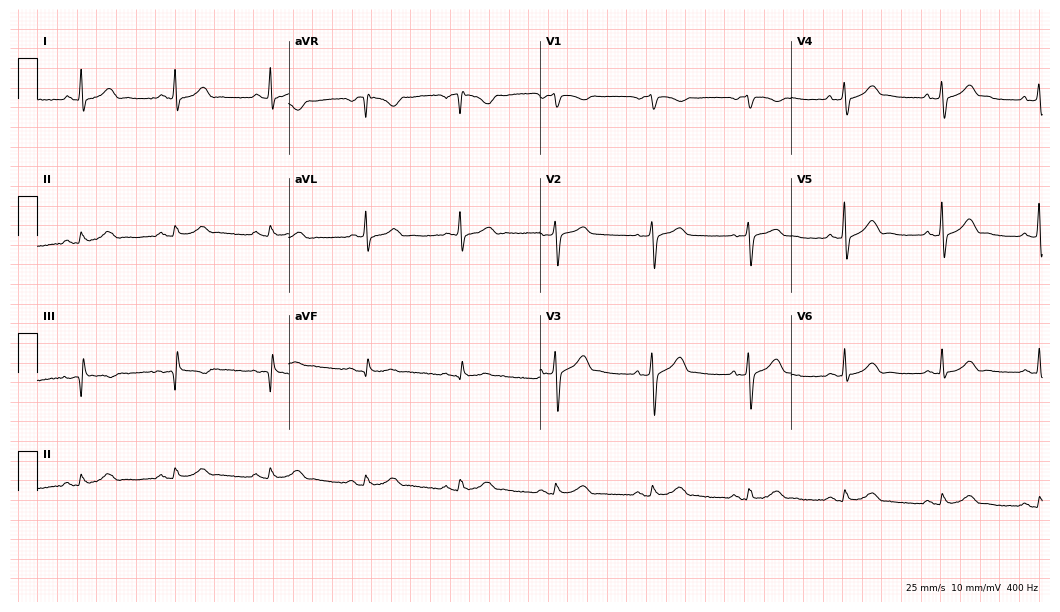
12-lead ECG (10.2-second recording at 400 Hz) from a male, 72 years old. Labelled as a normal ECG.